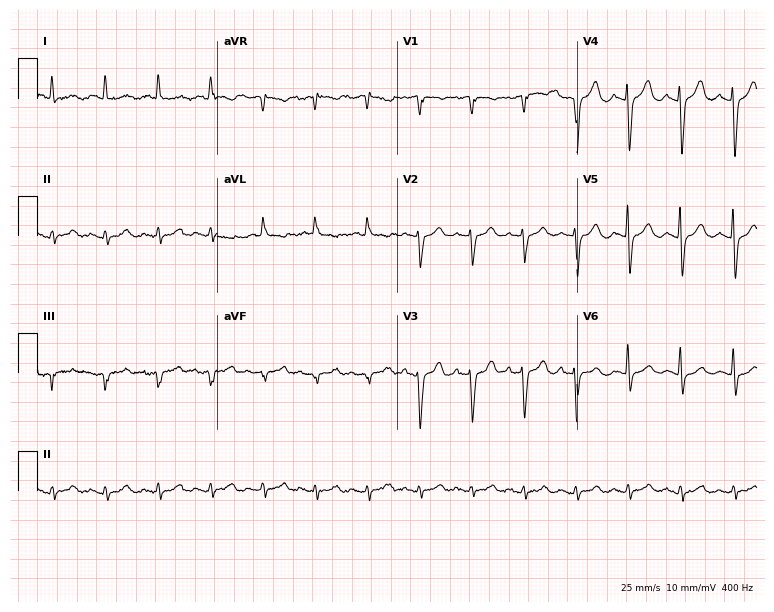
Resting 12-lead electrocardiogram (7.3-second recording at 400 Hz). Patient: an 80-year-old woman. None of these six findings is recorded: first-degree AV block, right bundle branch block, left bundle branch block, sinus bradycardia, atrial fibrillation, sinus tachycardia.